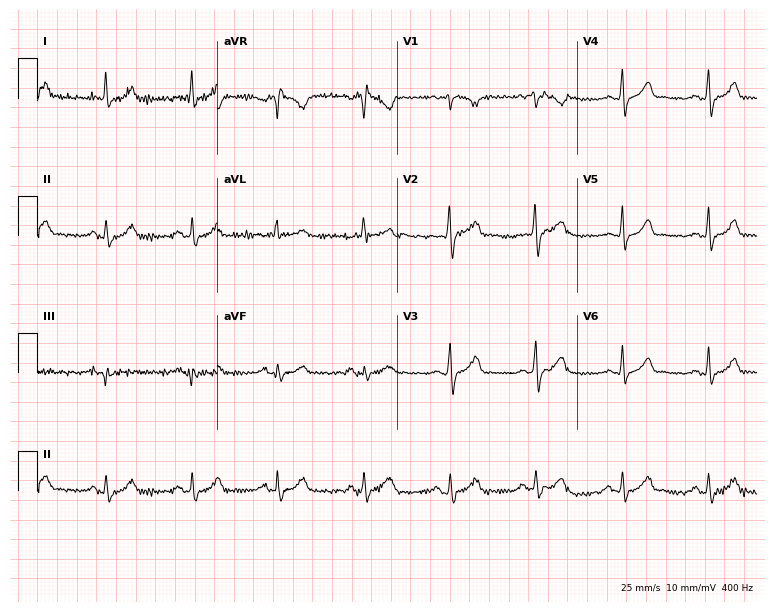
12-lead ECG from a female, 23 years old. Recorded interpretation: within normal limits.